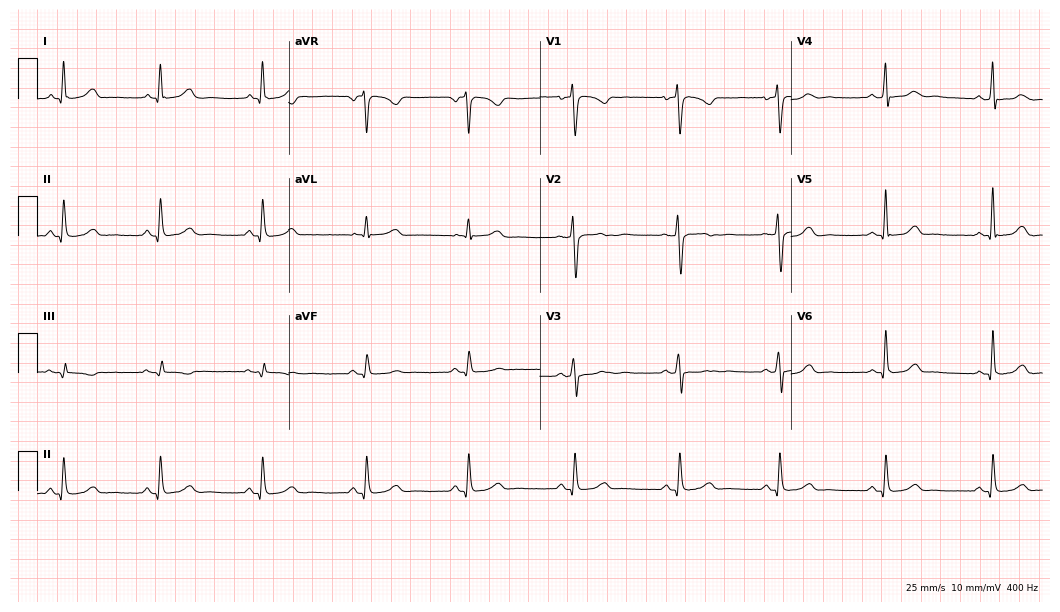
Resting 12-lead electrocardiogram (10.2-second recording at 400 Hz). Patient: a female, 33 years old. Read as a normal ECG.